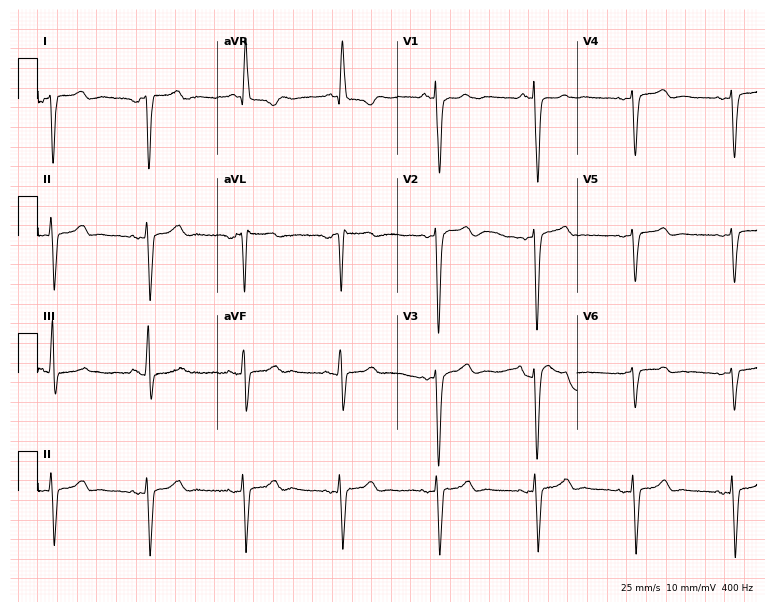
Resting 12-lead electrocardiogram (7.3-second recording at 400 Hz). Patient: a 69-year-old man. None of these six findings is recorded: first-degree AV block, right bundle branch block, left bundle branch block, sinus bradycardia, atrial fibrillation, sinus tachycardia.